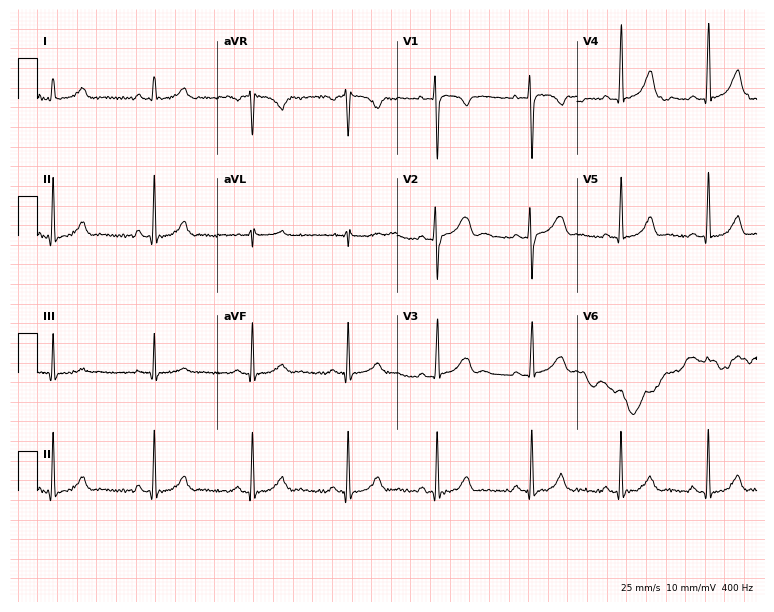
12-lead ECG (7.3-second recording at 400 Hz) from a 19-year-old female. Labelled as a normal ECG.